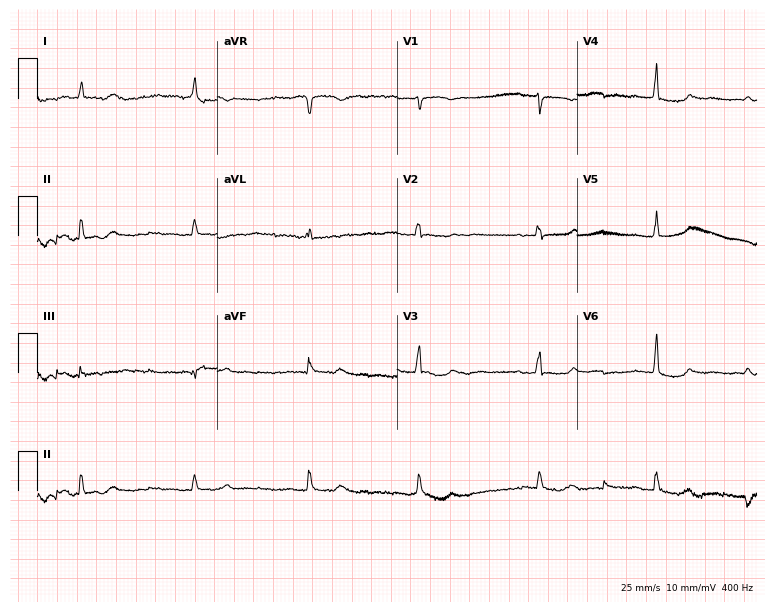
ECG — a female, 75 years old. Screened for six findings — first-degree AV block, right bundle branch block (RBBB), left bundle branch block (LBBB), sinus bradycardia, atrial fibrillation (AF), sinus tachycardia — none is recorded.